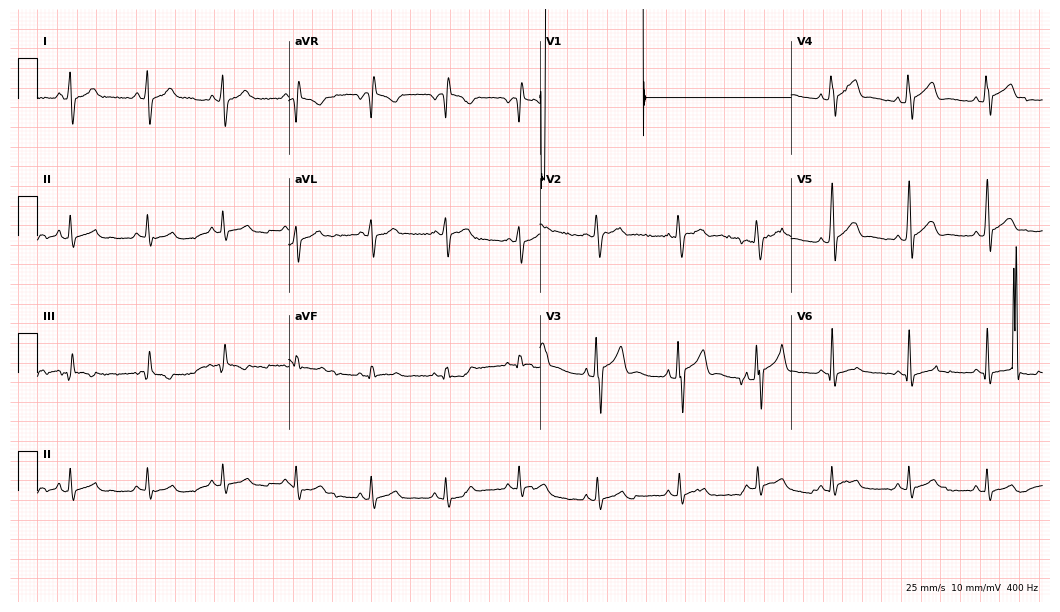
12-lead ECG from a 17-year-old male patient. No first-degree AV block, right bundle branch block, left bundle branch block, sinus bradycardia, atrial fibrillation or sinus tachycardia recorded for this tracing. Findings outside these six are not listed.